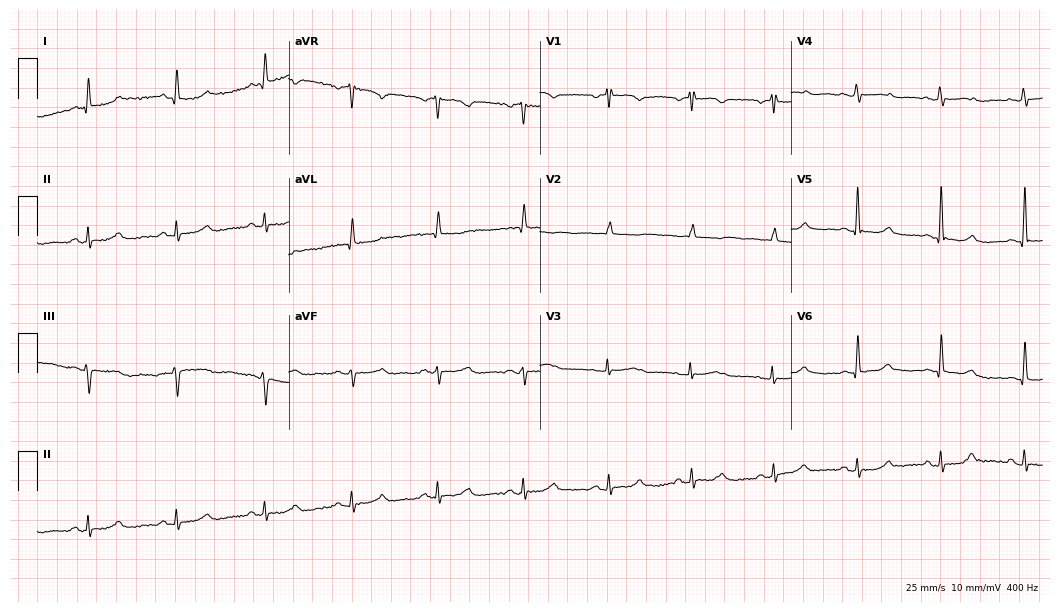
12-lead ECG from a 73-year-old woman. Recorded interpretation: within normal limits.